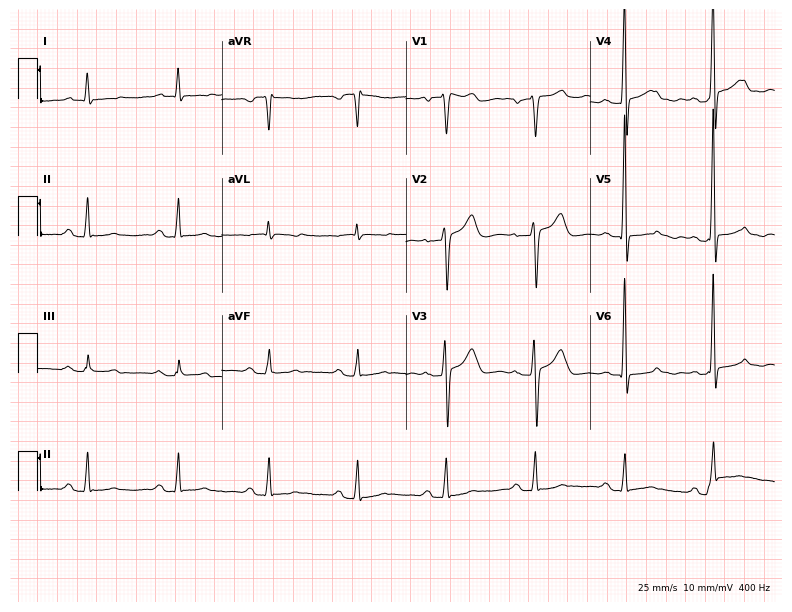
12-lead ECG from a male patient, 58 years old. Screened for six findings — first-degree AV block, right bundle branch block, left bundle branch block, sinus bradycardia, atrial fibrillation, sinus tachycardia — none is recorded. Findings outside these six are not listed.